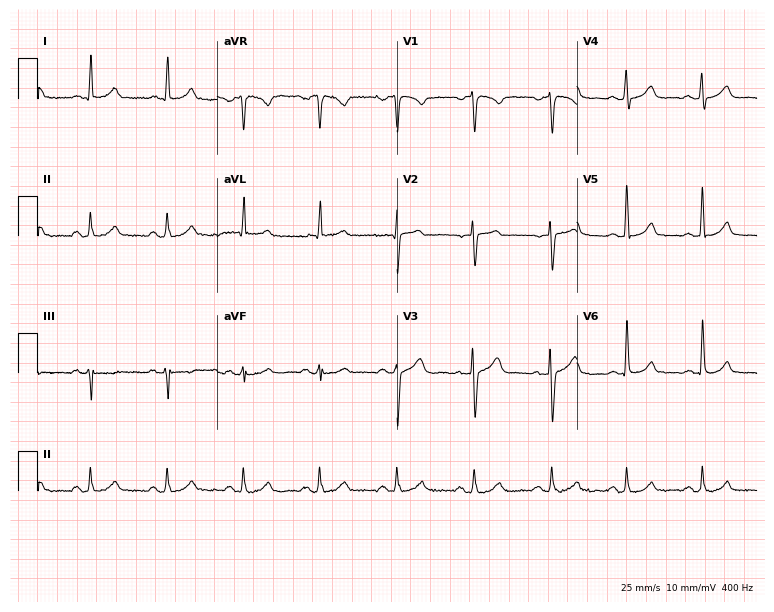
12-lead ECG from a 62-year-old female patient. Labelled as a normal ECG.